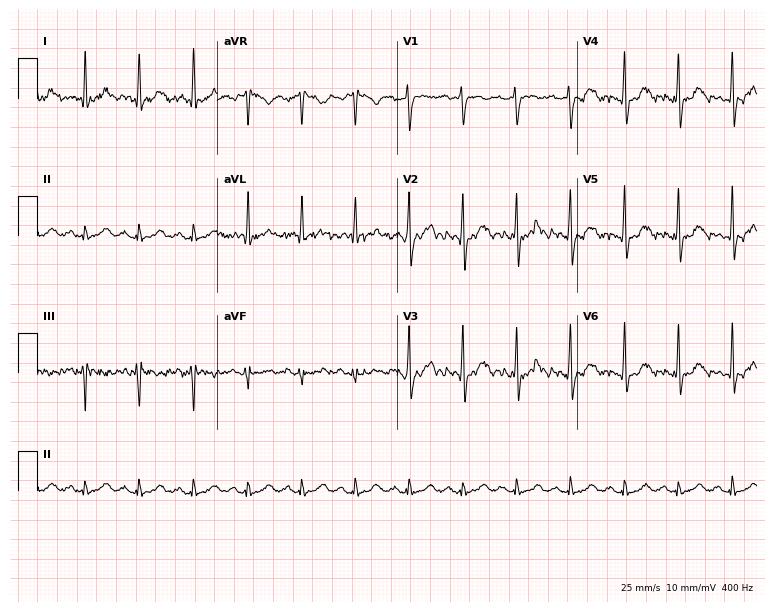
Electrocardiogram (7.3-second recording at 400 Hz), a female, 41 years old. Interpretation includes sinus tachycardia (a sinus rate of 100 beats per minute or more).